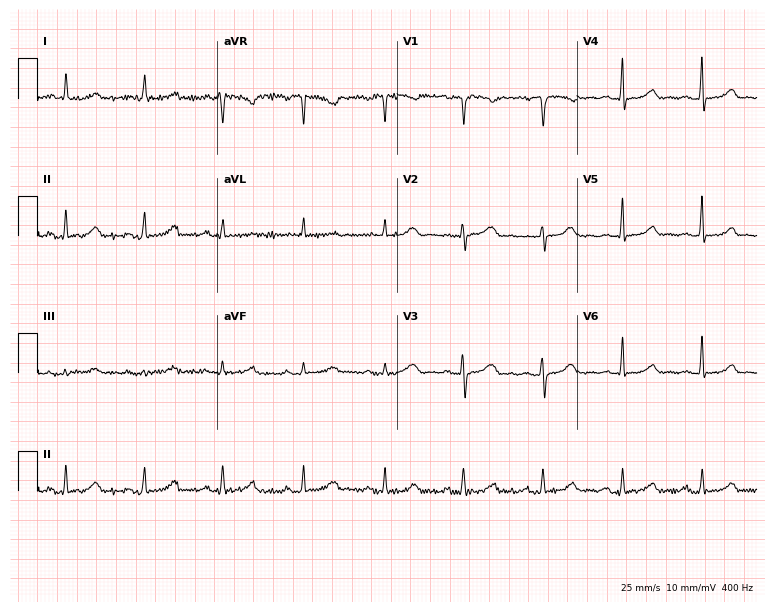
Resting 12-lead electrocardiogram. Patient: a woman, 44 years old. Read as a normal ECG.